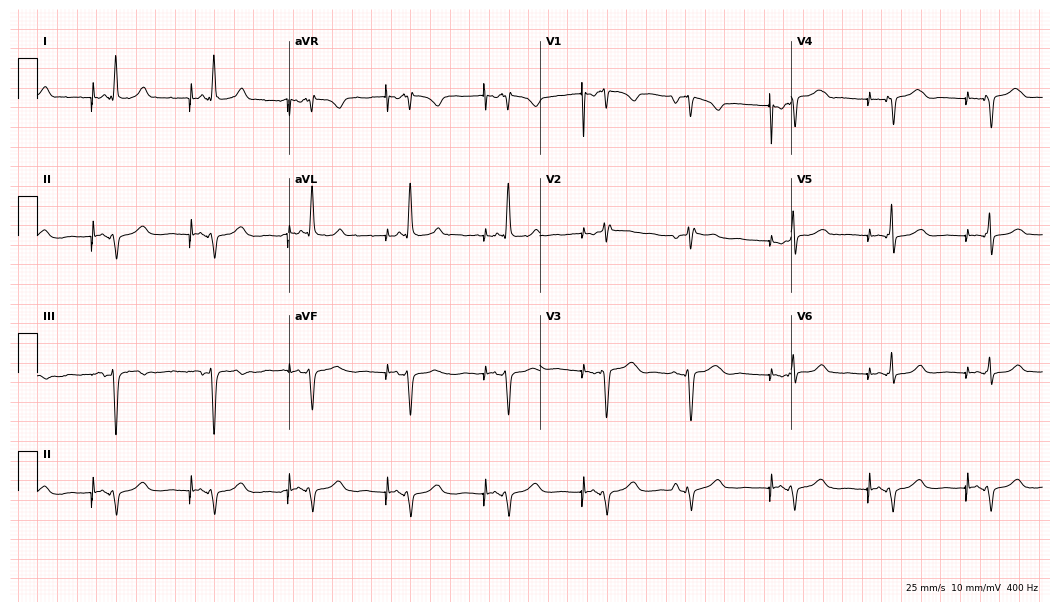
ECG — a woman, 63 years old. Screened for six findings — first-degree AV block, right bundle branch block, left bundle branch block, sinus bradycardia, atrial fibrillation, sinus tachycardia — none is recorded.